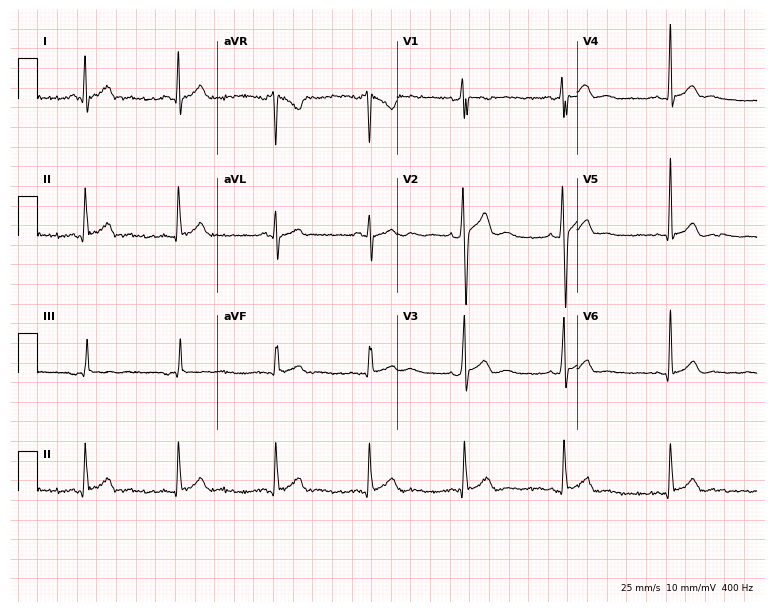
12-lead ECG from a man, 17 years old (7.3-second recording at 400 Hz). Recorded interpretation: within normal limits.